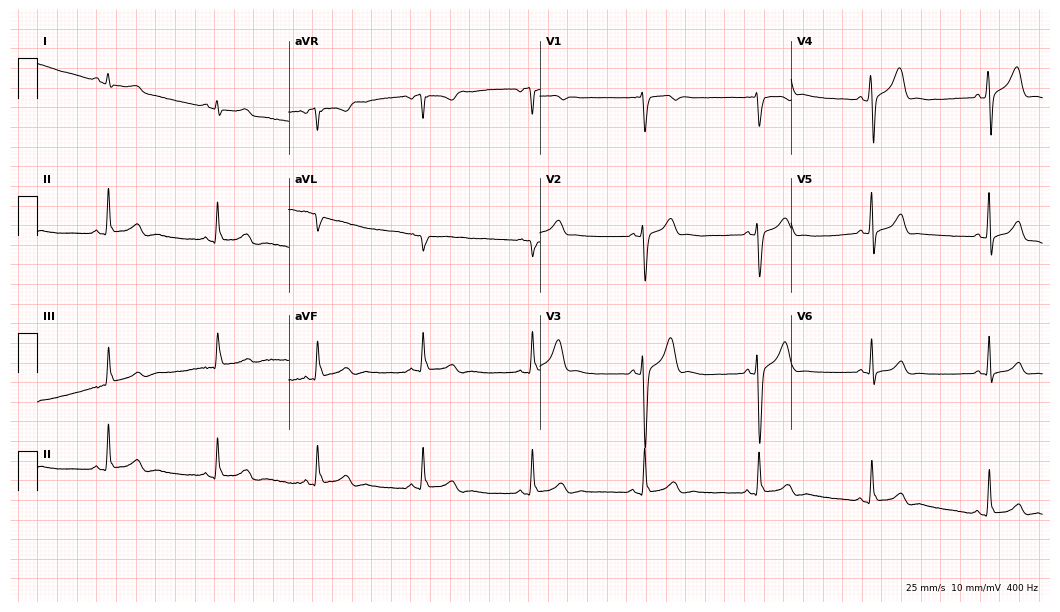
12-lead ECG (10.2-second recording at 400 Hz) from a male, 33 years old. Labelled as a normal ECG.